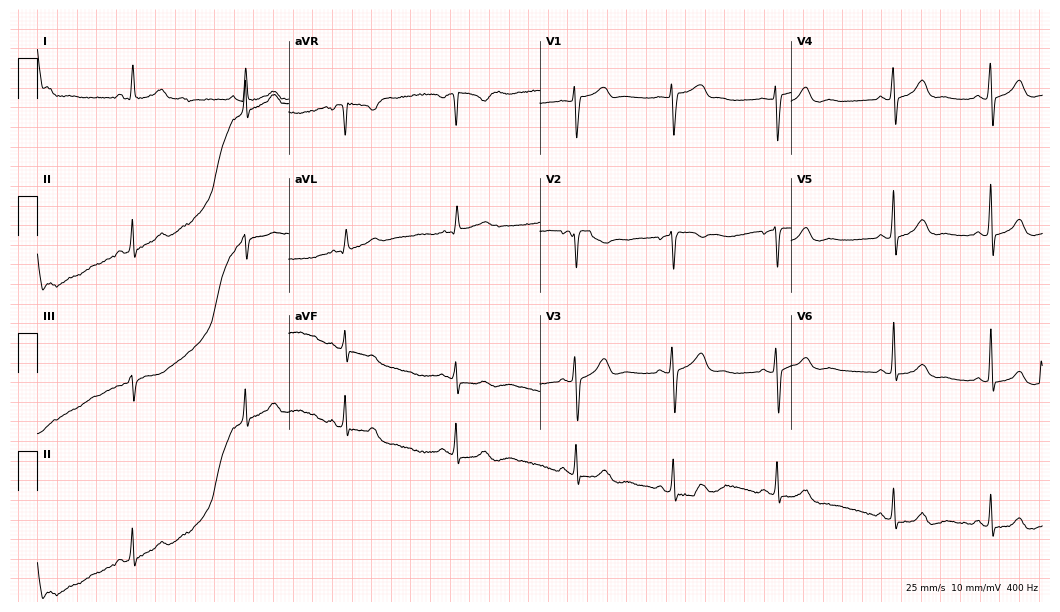
ECG — a female patient, 32 years old. Screened for six findings — first-degree AV block, right bundle branch block, left bundle branch block, sinus bradycardia, atrial fibrillation, sinus tachycardia — none is recorded.